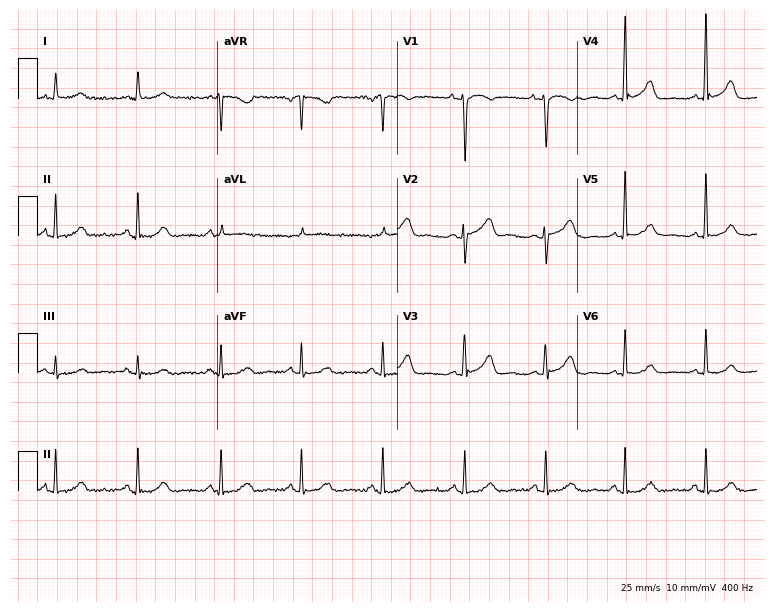
Resting 12-lead electrocardiogram (7.3-second recording at 400 Hz). Patient: a 71-year-old female. Read as a normal ECG.